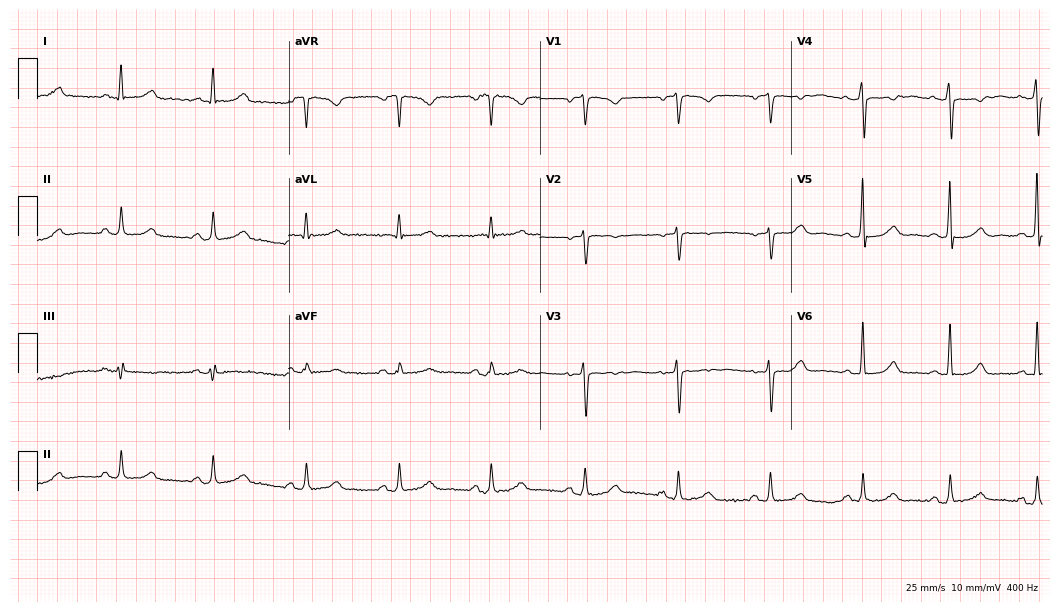
12-lead ECG (10.2-second recording at 400 Hz) from a 54-year-old woman. Screened for six findings — first-degree AV block, right bundle branch block, left bundle branch block, sinus bradycardia, atrial fibrillation, sinus tachycardia — none is recorded.